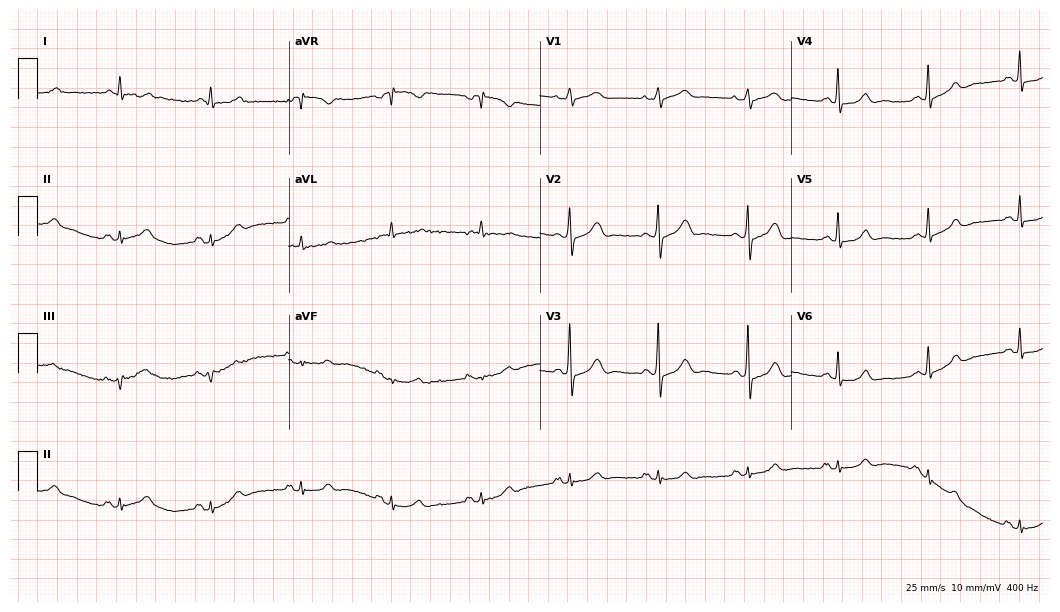
Standard 12-lead ECG recorded from a woman, 80 years old (10.2-second recording at 400 Hz). None of these six findings is recorded: first-degree AV block, right bundle branch block (RBBB), left bundle branch block (LBBB), sinus bradycardia, atrial fibrillation (AF), sinus tachycardia. Other findings, if any, are not listed.